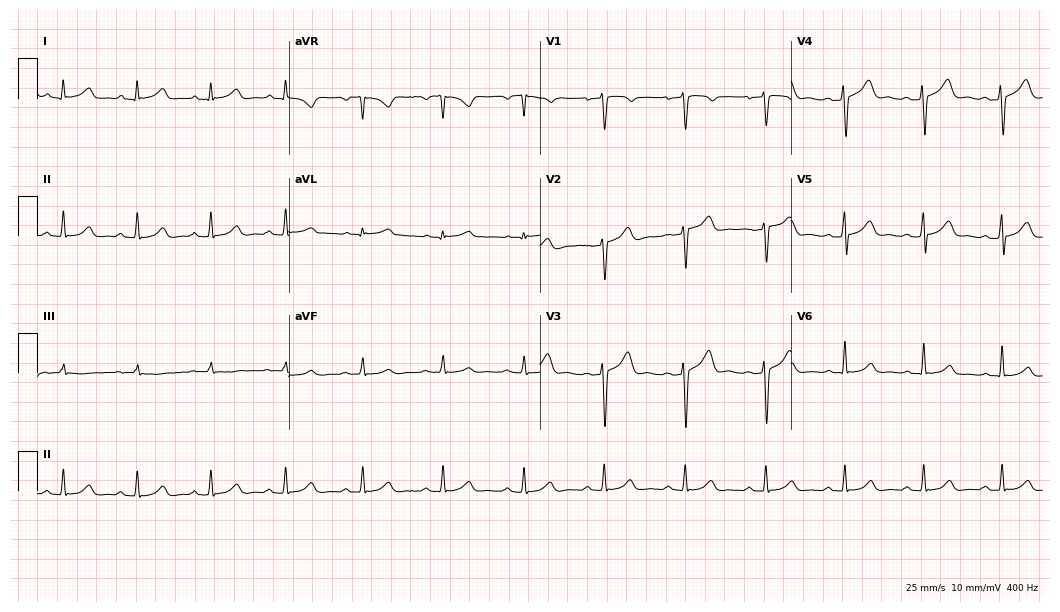
Resting 12-lead electrocardiogram (10.2-second recording at 400 Hz). Patient: a male, 25 years old. None of these six findings is recorded: first-degree AV block, right bundle branch block (RBBB), left bundle branch block (LBBB), sinus bradycardia, atrial fibrillation (AF), sinus tachycardia.